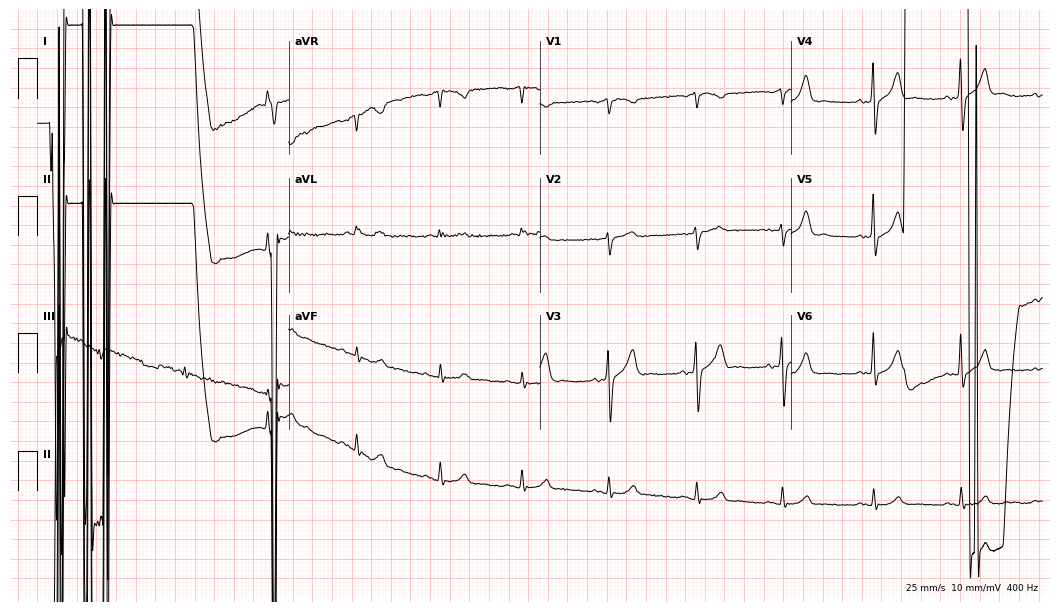
Resting 12-lead electrocardiogram (10.2-second recording at 400 Hz). Patient: a 58-year-old male. None of these six findings is recorded: first-degree AV block, right bundle branch block (RBBB), left bundle branch block (LBBB), sinus bradycardia, atrial fibrillation (AF), sinus tachycardia.